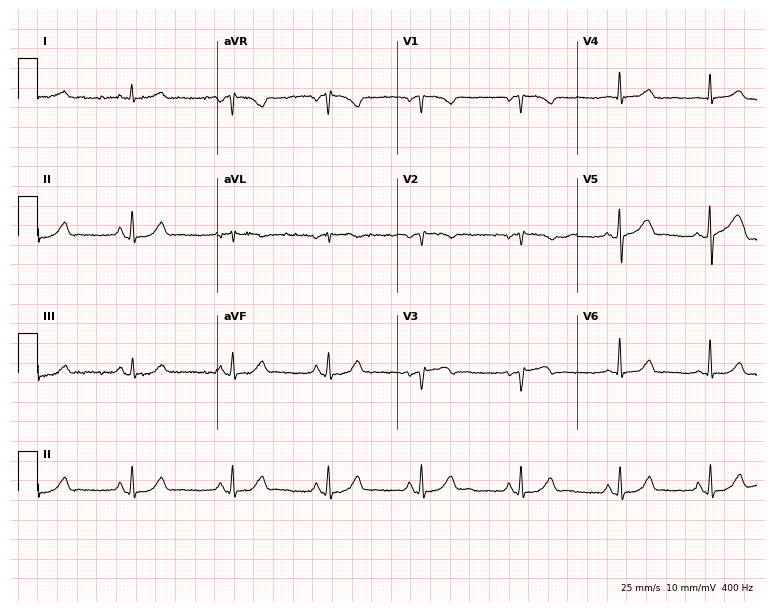
12-lead ECG from a 57-year-old woman (7.3-second recording at 400 Hz). No first-degree AV block, right bundle branch block, left bundle branch block, sinus bradycardia, atrial fibrillation or sinus tachycardia recorded for this tracing. Other findings, if any, are not listed.